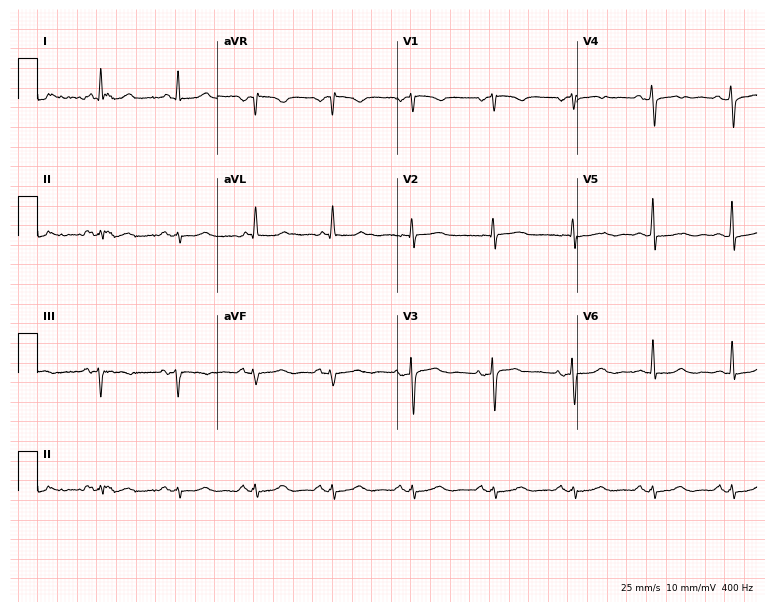
Standard 12-lead ECG recorded from a 64-year-old female patient. None of these six findings is recorded: first-degree AV block, right bundle branch block (RBBB), left bundle branch block (LBBB), sinus bradycardia, atrial fibrillation (AF), sinus tachycardia.